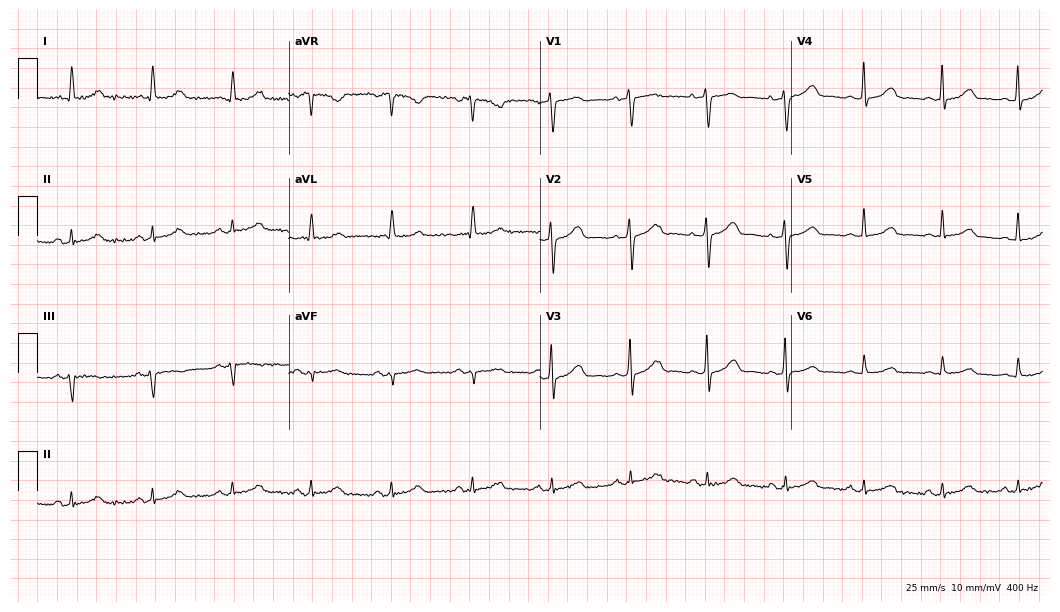
Resting 12-lead electrocardiogram. Patient: a 76-year-old female. Read as a normal ECG.